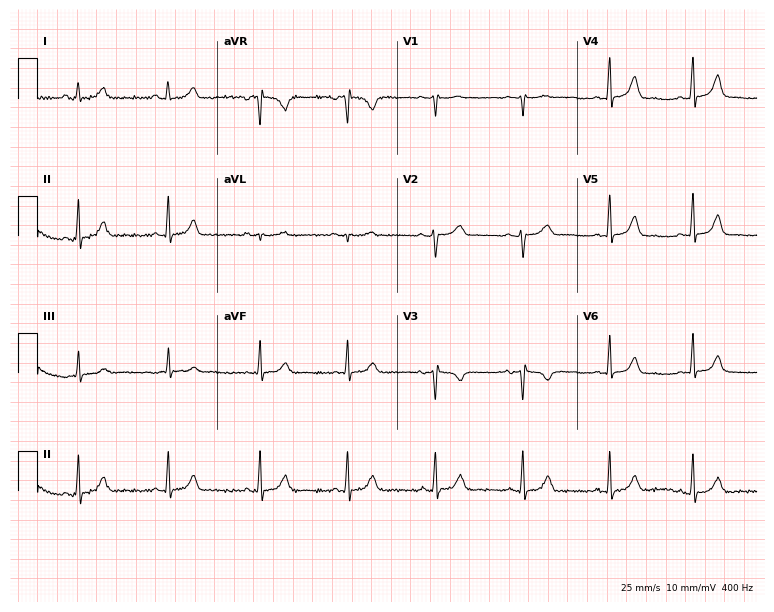
ECG — a woman, 22 years old. Labelled as a normal ECG.